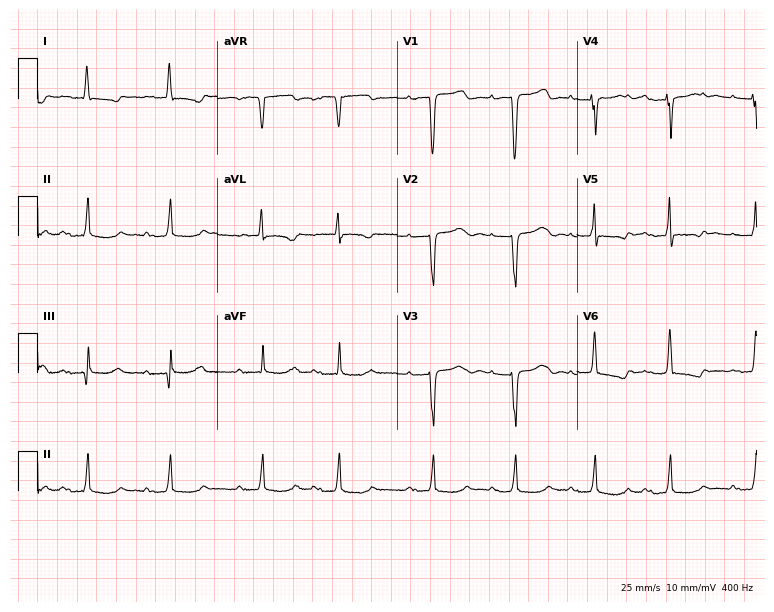
Standard 12-lead ECG recorded from an 85-year-old woman (7.3-second recording at 400 Hz). The tracing shows first-degree AV block.